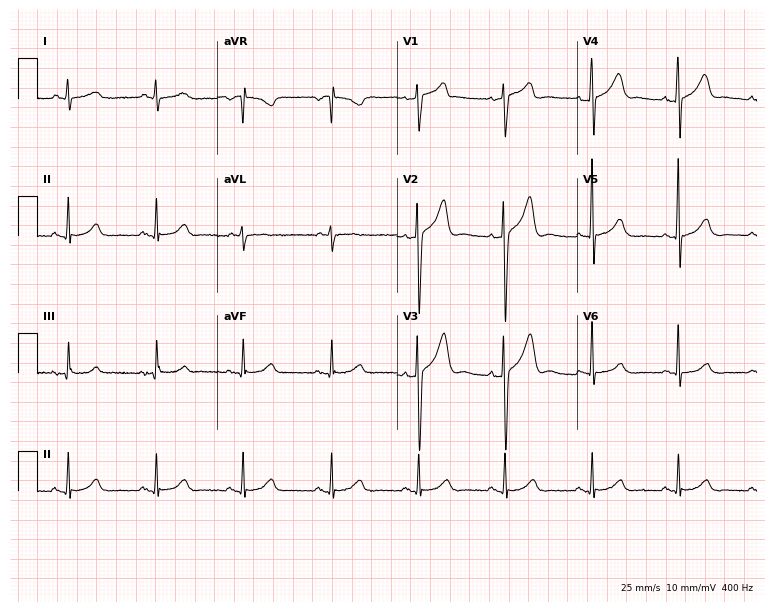
ECG (7.3-second recording at 400 Hz) — a 55-year-old male. Labelled as a normal ECG.